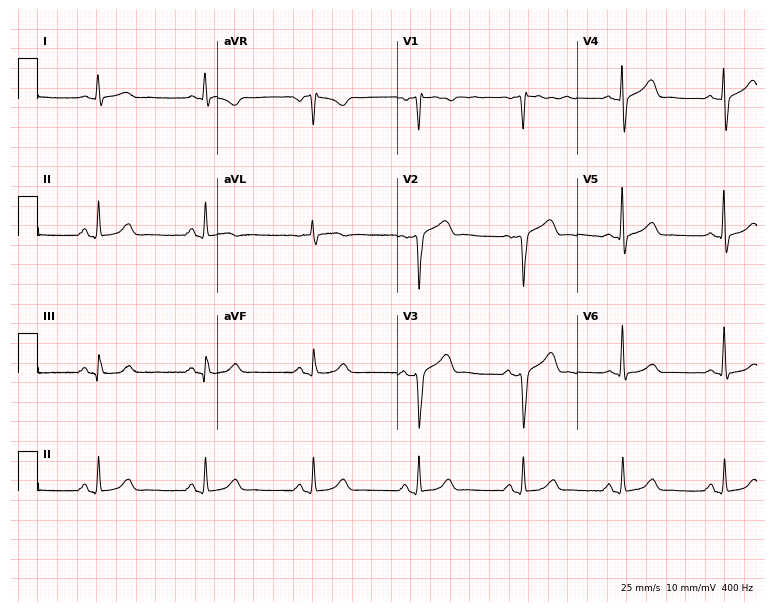
12-lead ECG from a 73-year-old male patient (7.3-second recording at 400 Hz). No first-degree AV block, right bundle branch block, left bundle branch block, sinus bradycardia, atrial fibrillation or sinus tachycardia recorded for this tracing.